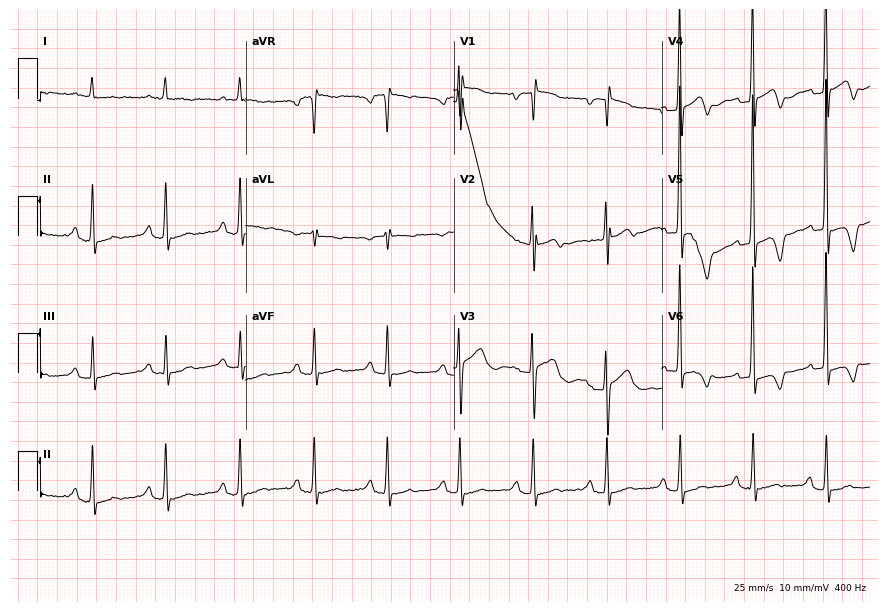
ECG — a woman, 60 years old. Screened for six findings — first-degree AV block, right bundle branch block, left bundle branch block, sinus bradycardia, atrial fibrillation, sinus tachycardia — none is recorded. Findings outside these six are not listed.